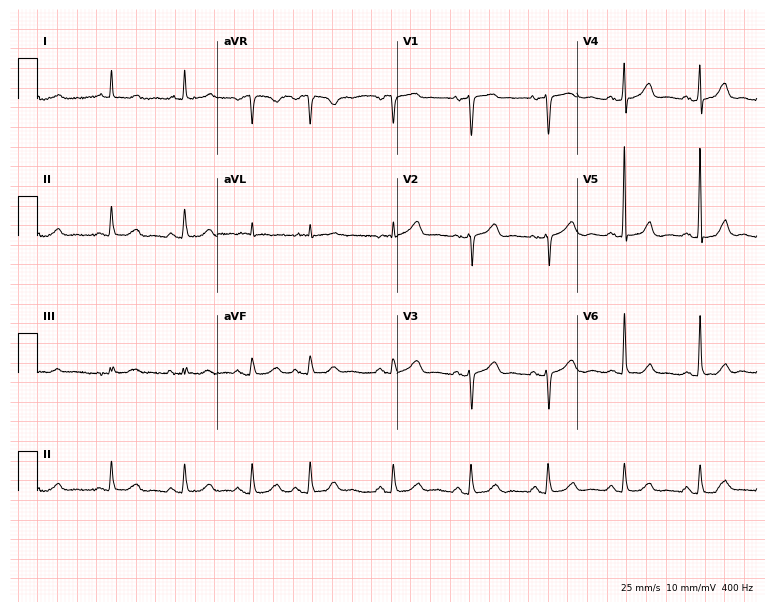
Electrocardiogram (7.3-second recording at 400 Hz), a woman, 84 years old. Overall reading on record: normal ECG.